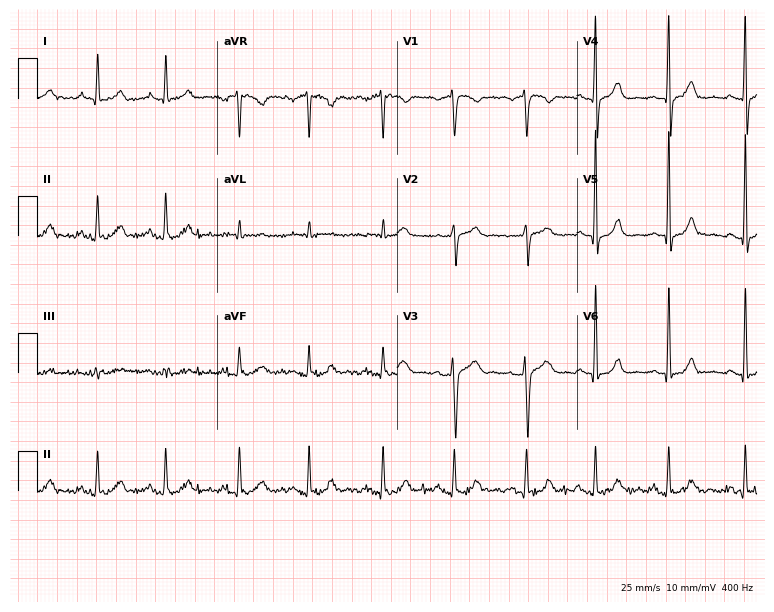
Standard 12-lead ECG recorded from a man, 53 years old. None of these six findings is recorded: first-degree AV block, right bundle branch block (RBBB), left bundle branch block (LBBB), sinus bradycardia, atrial fibrillation (AF), sinus tachycardia.